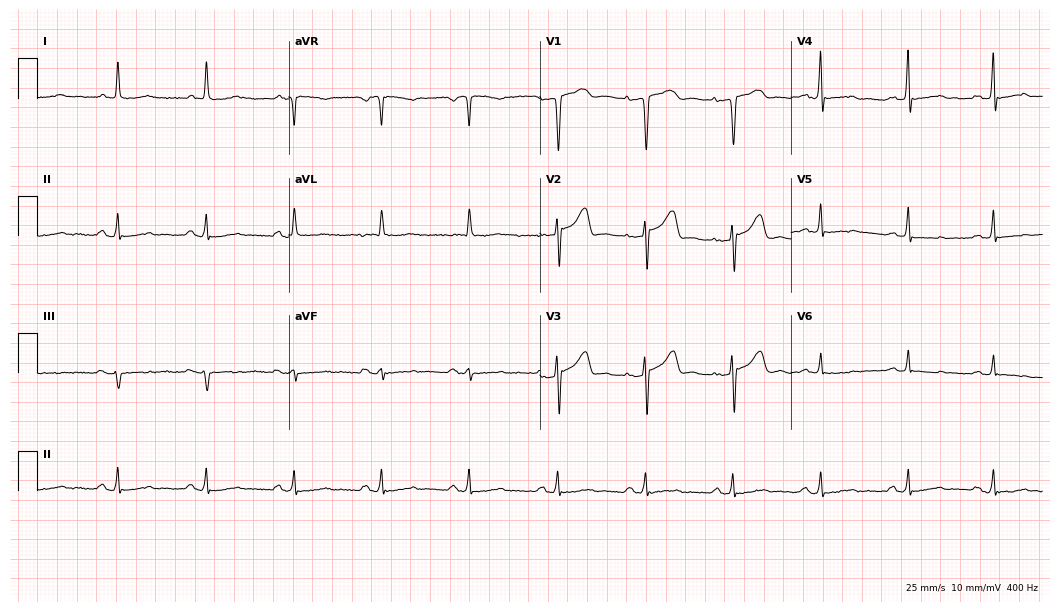
12-lead ECG from a female, 82 years old (10.2-second recording at 400 Hz). No first-degree AV block, right bundle branch block, left bundle branch block, sinus bradycardia, atrial fibrillation or sinus tachycardia recorded for this tracing.